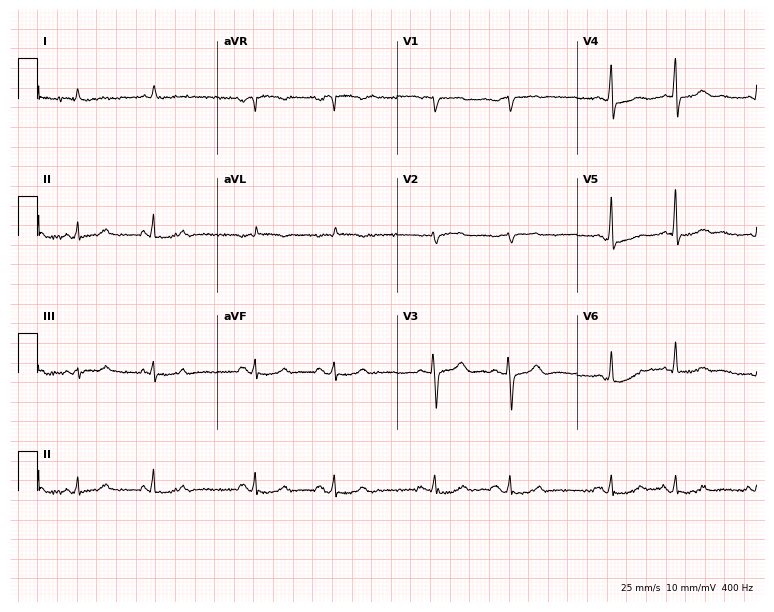
Resting 12-lead electrocardiogram (7.3-second recording at 400 Hz). Patient: a male, 82 years old. Read as a normal ECG.